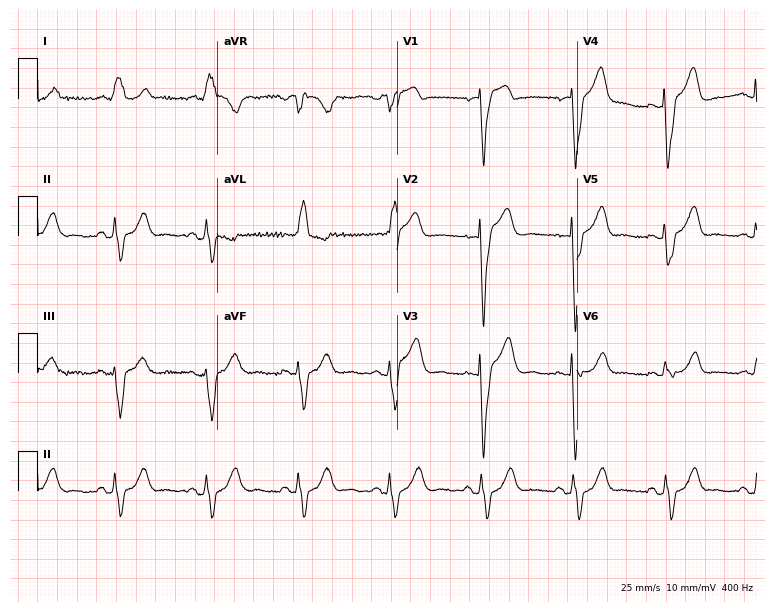
Resting 12-lead electrocardiogram. Patient: a 75-year-old woman. The tracing shows left bundle branch block.